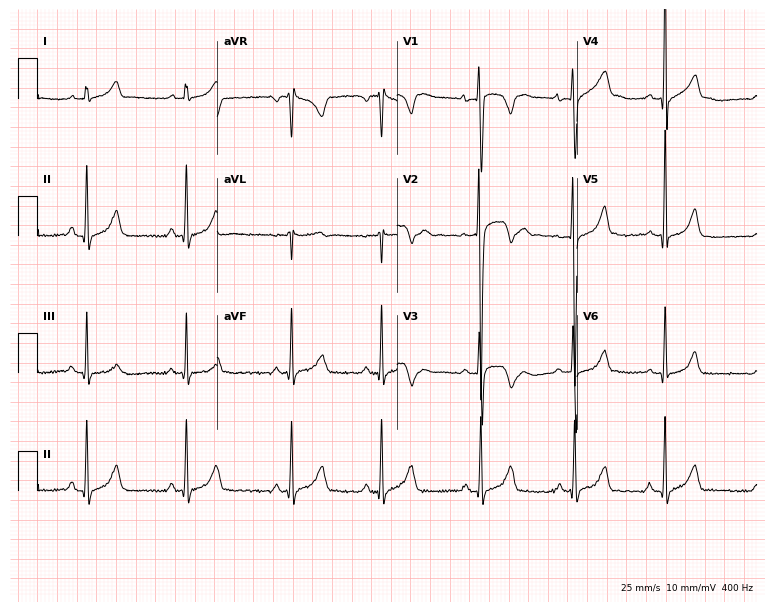
ECG — a male, 17 years old. Labelled as a normal ECG.